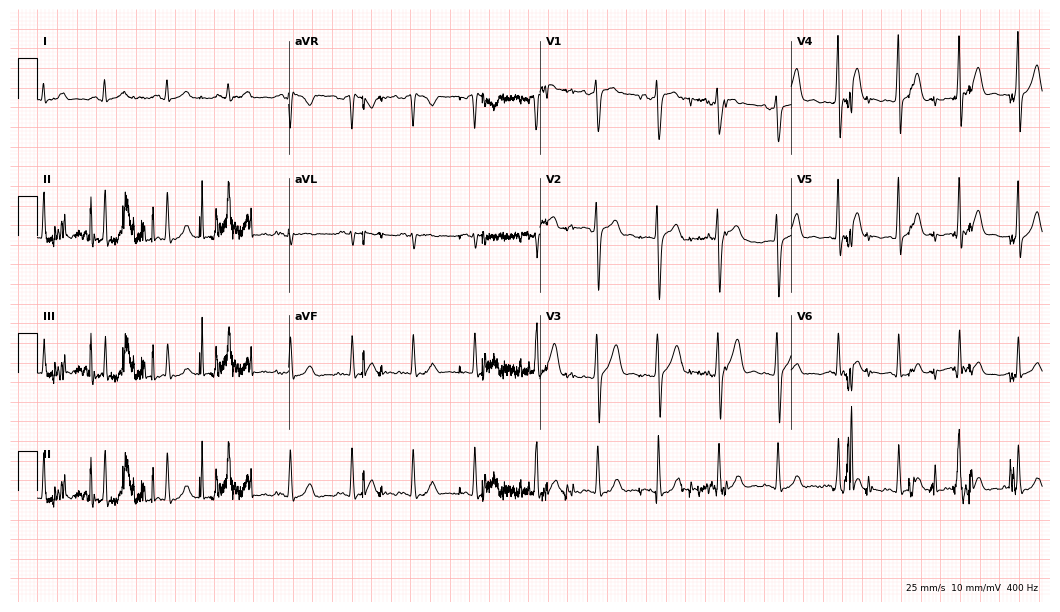
12-lead ECG from a male, 25 years old. Labelled as a normal ECG.